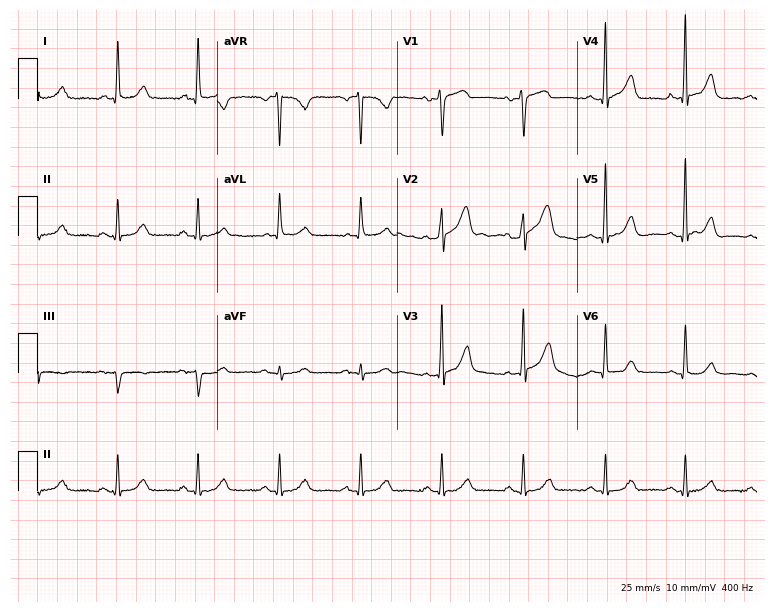
Resting 12-lead electrocardiogram. Patient: a female, 60 years old. None of these six findings is recorded: first-degree AV block, right bundle branch block (RBBB), left bundle branch block (LBBB), sinus bradycardia, atrial fibrillation (AF), sinus tachycardia.